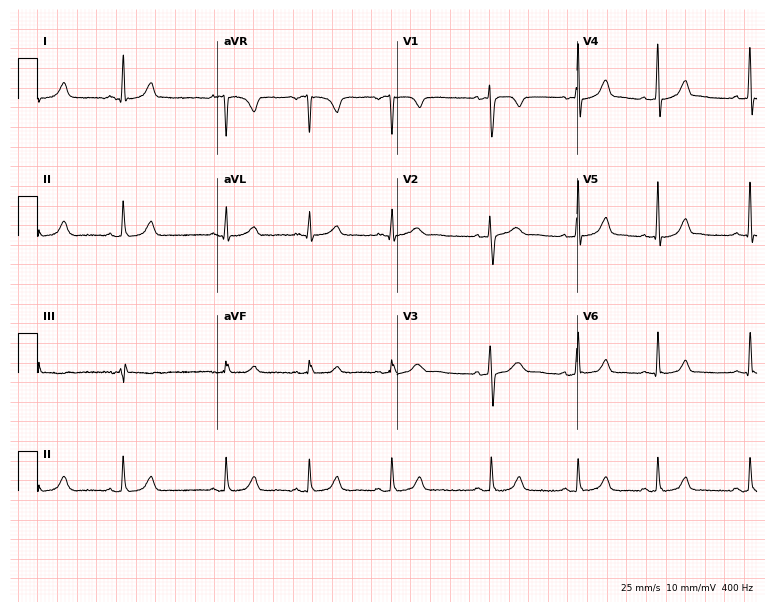
Standard 12-lead ECG recorded from a female patient, 23 years old. Read as a normal ECG.